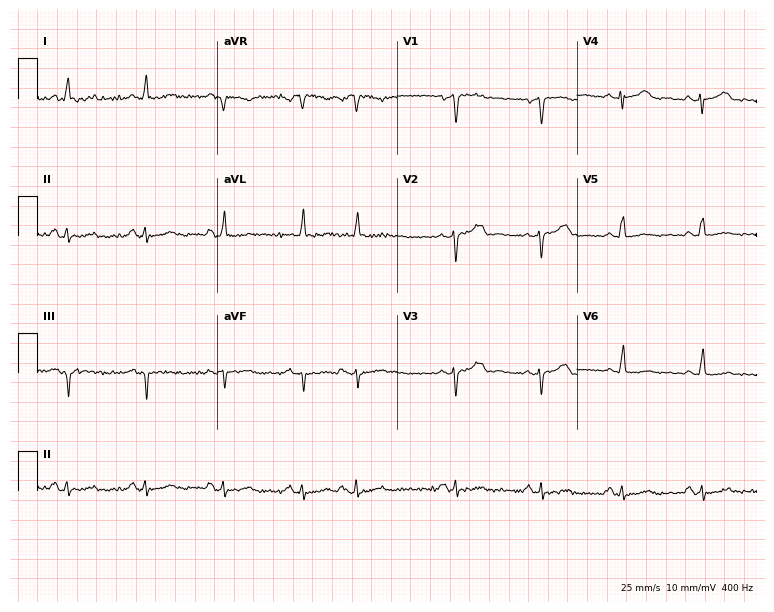
ECG — a female, 68 years old. Screened for six findings — first-degree AV block, right bundle branch block, left bundle branch block, sinus bradycardia, atrial fibrillation, sinus tachycardia — none is recorded.